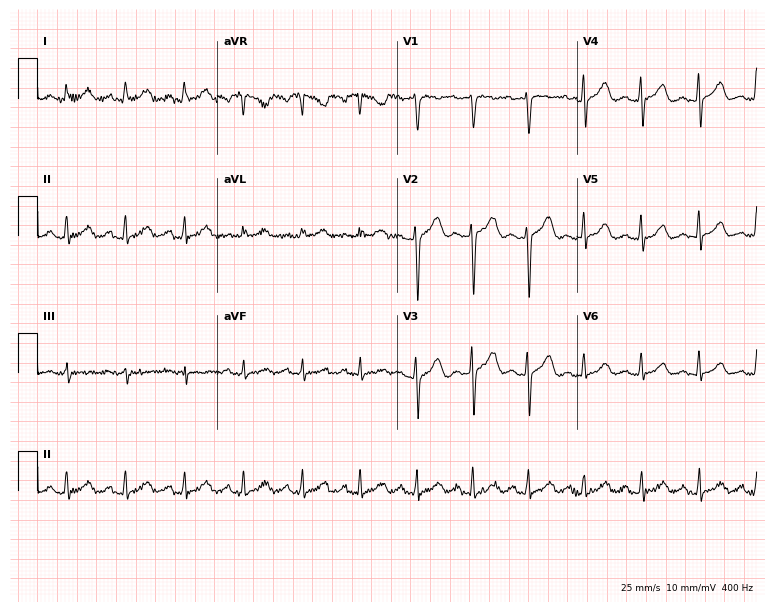
Standard 12-lead ECG recorded from a woman, 23 years old. The tracing shows sinus tachycardia (a sinus rate of 100 beats per minute or more).